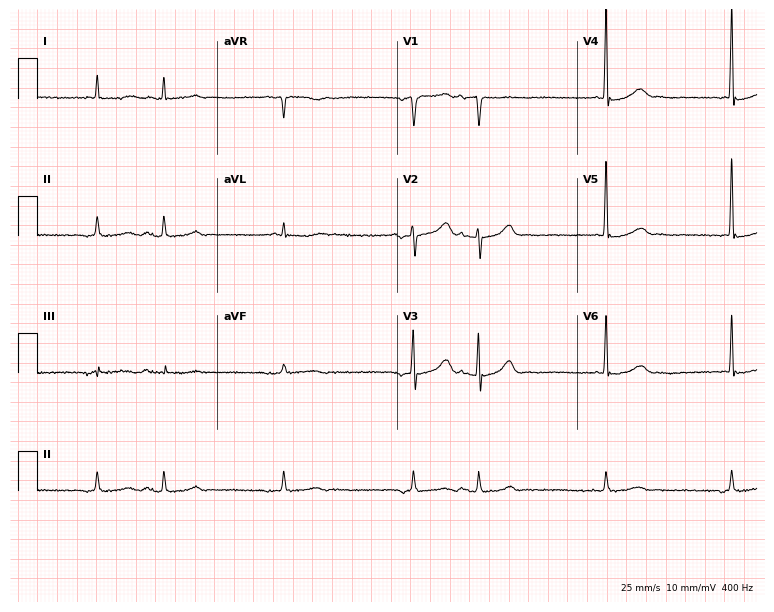
12-lead ECG from an 83-year-old male patient. No first-degree AV block, right bundle branch block, left bundle branch block, sinus bradycardia, atrial fibrillation or sinus tachycardia recorded for this tracing. Only these six findings were labelled.